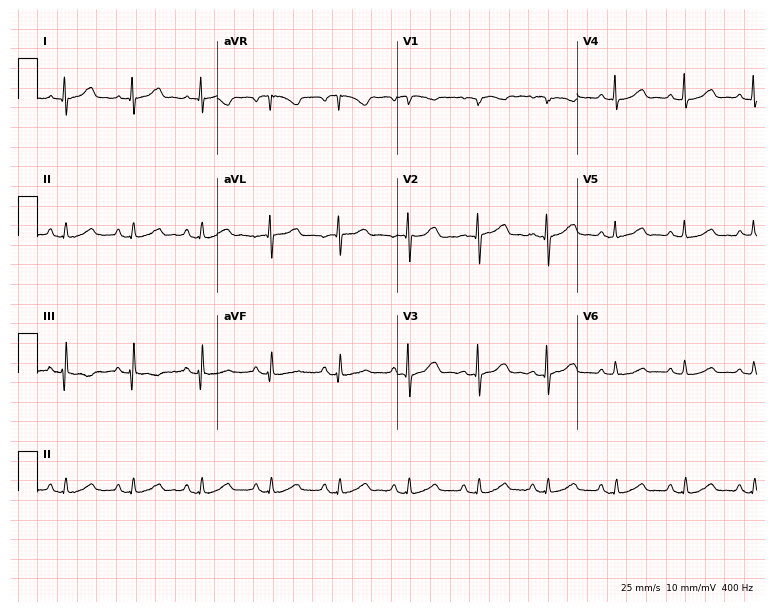
12-lead ECG from a 60-year-old female patient. Recorded interpretation: within normal limits.